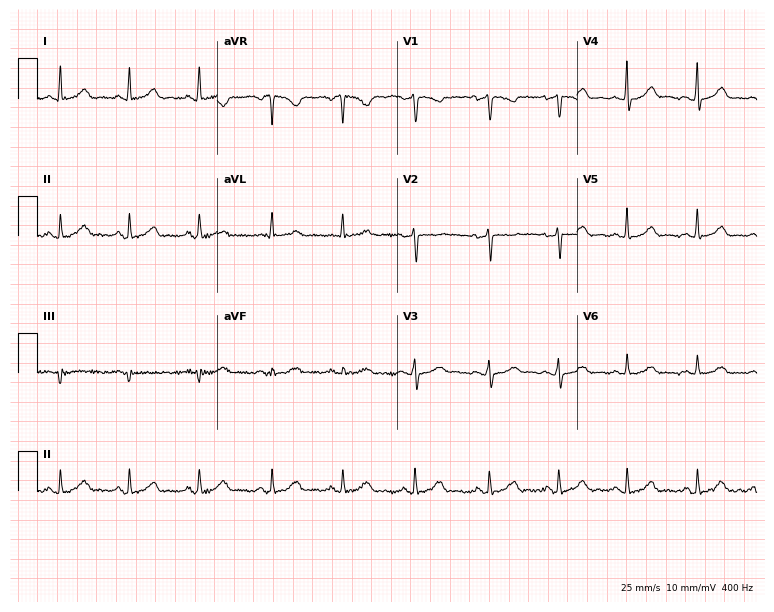
ECG — a 33-year-old female patient. Labelled as a normal ECG.